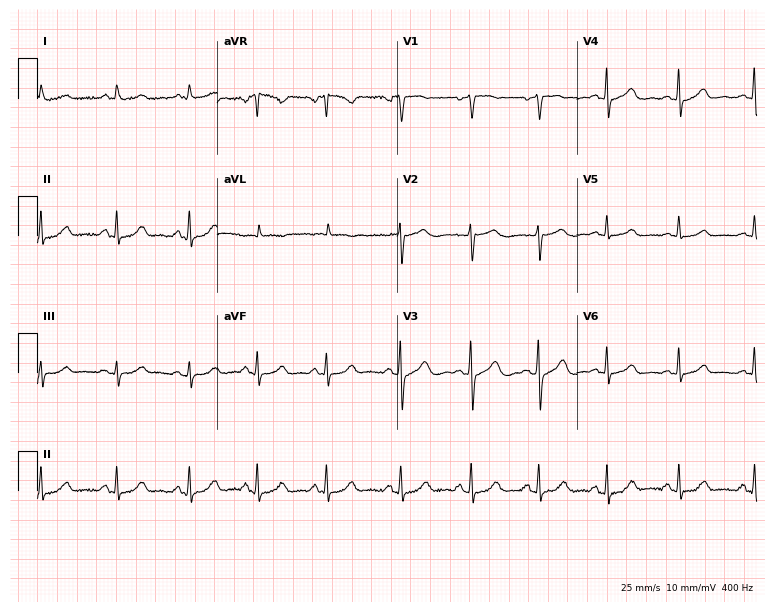
12-lead ECG from a 47-year-old female patient. Screened for six findings — first-degree AV block, right bundle branch block, left bundle branch block, sinus bradycardia, atrial fibrillation, sinus tachycardia — none is recorded. Other findings, if any, are not listed.